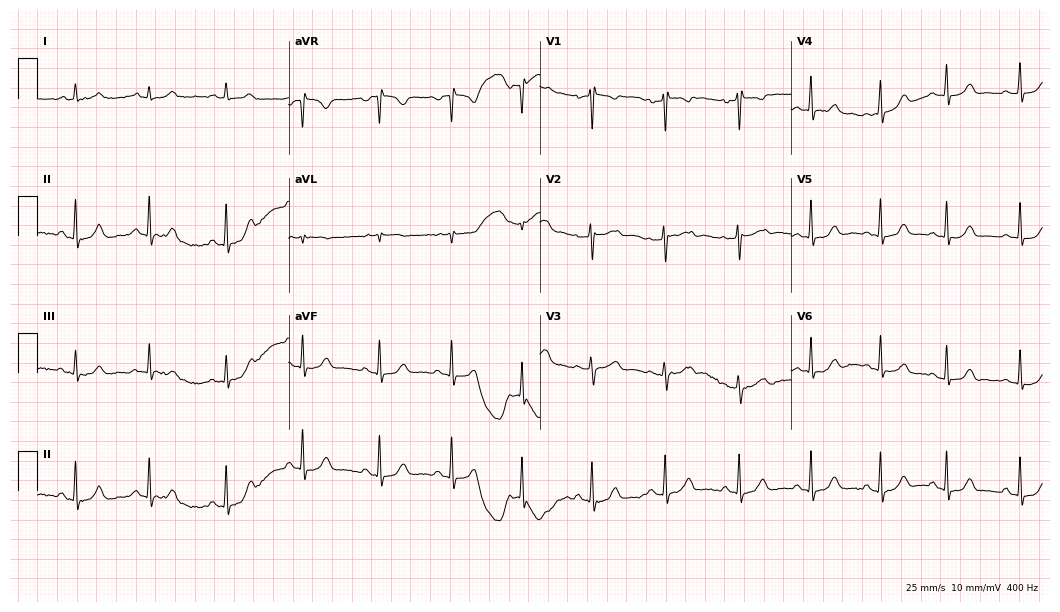
12-lead ECG (10.2-second recording at 400 Hz) from a woman, 38 years old. Screened for six findings — first-degree AV block, right bundle branch block, left bundle branch block, sinus bradycardia, atrial fibrillation, sinus tachycardia — none is recorded. Only these six findings were labelled.